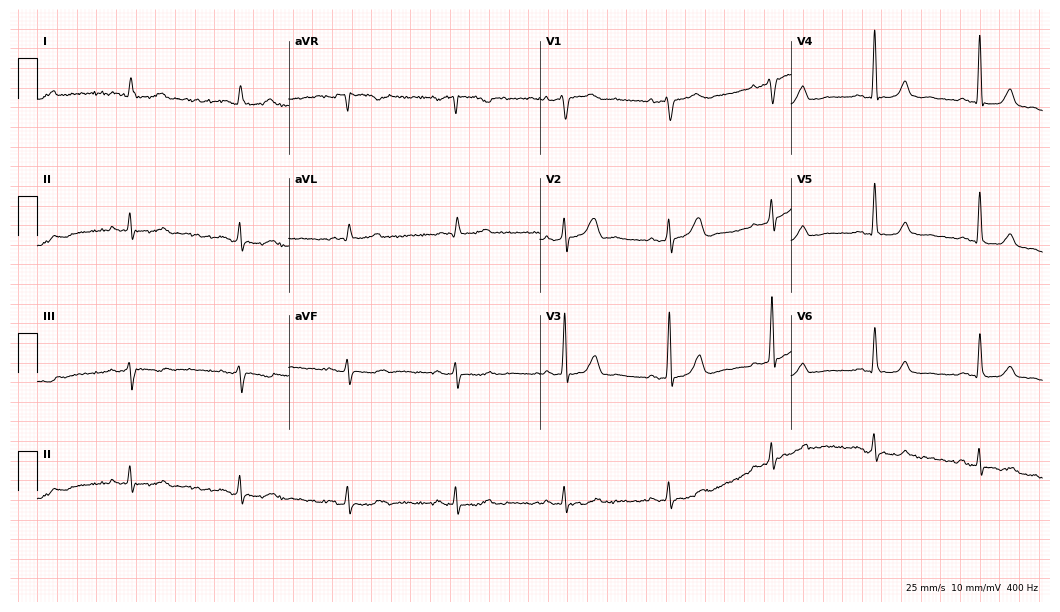
Standard 12-lead ECG recorded from a male patient, 66 years old. None of these six findings is recorded: first-degree AV block, right bundle branch block (RBBB), left bundle branch block (LBBB), sinus bradycardia, atrial fibrillation (AF), sinus tachycardia. Other findings, if any, are not listed.